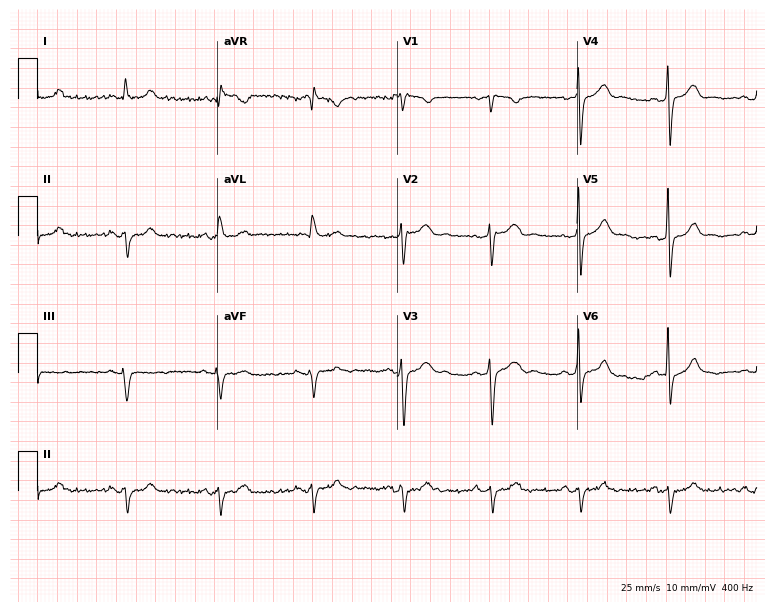
Standard 12-lead ECG recorded from a male, 60 years old. None of these six findings is recorded: first-degree AV block, right bundle branch block (RBBB), left bundle branch block (LBBB), sinus bradycardia, atrial fibrillation (AF), sinus tachycardia. Only these six findings were labelled.